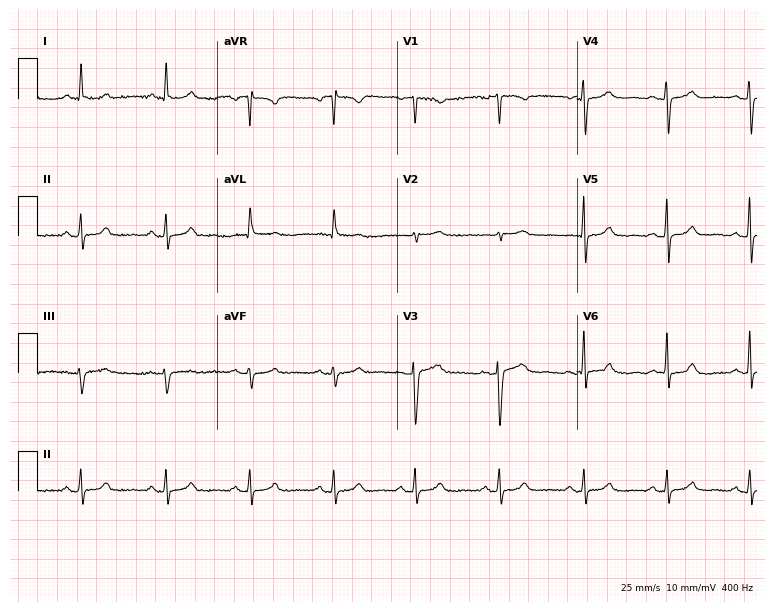
12-lead ECG from a female, 56 years old. Labelled as a normal ECG.